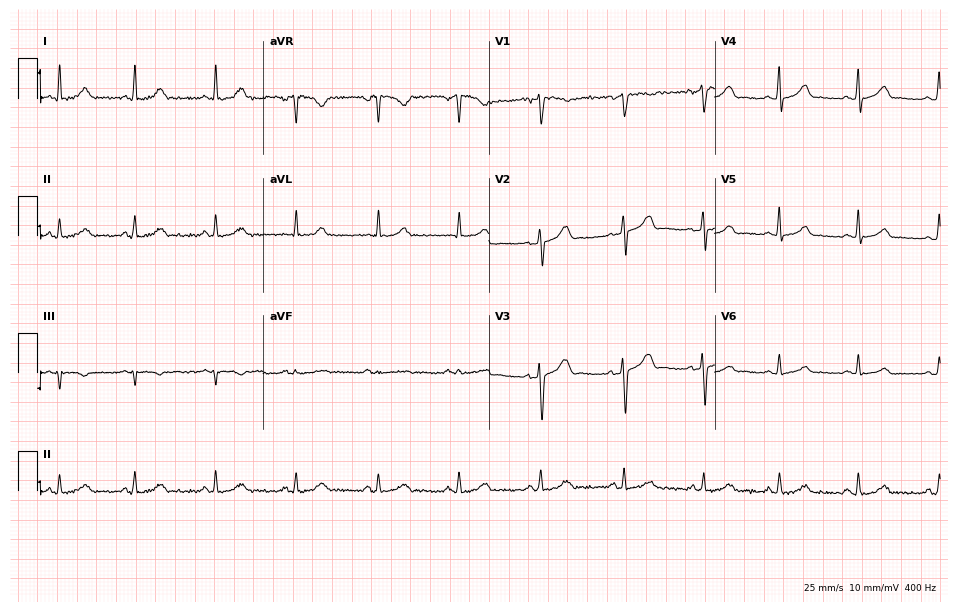
12-lead ECG from a female, 21 years old. Recorded interpretation: within normal limits.